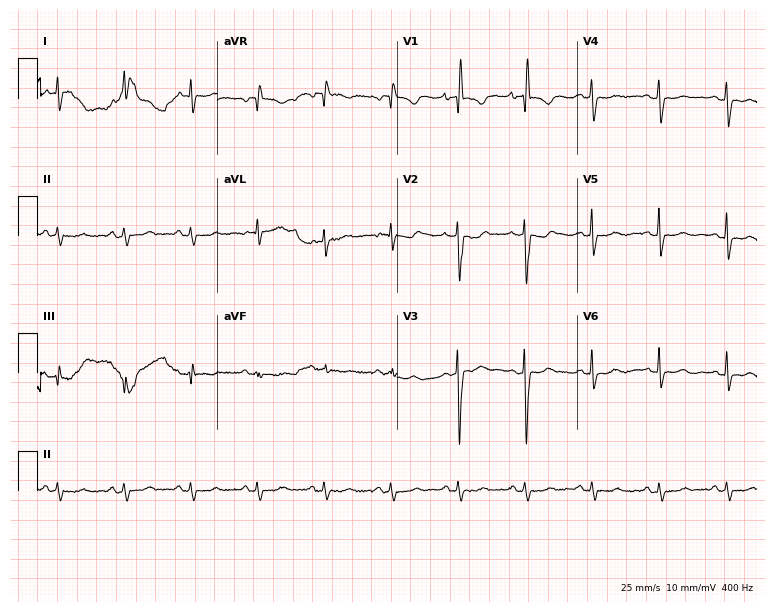
12-lead ECG (7.3-second recording at 400 Hz) from an 84-year-old woman. Screened for six findings — first-degree AV block, right bundle branch block (RBBB), left bundle branch block (LBBB), sinus bradycardia, atrial fibrillation (AF), sinus tachycardia — none is recorded.